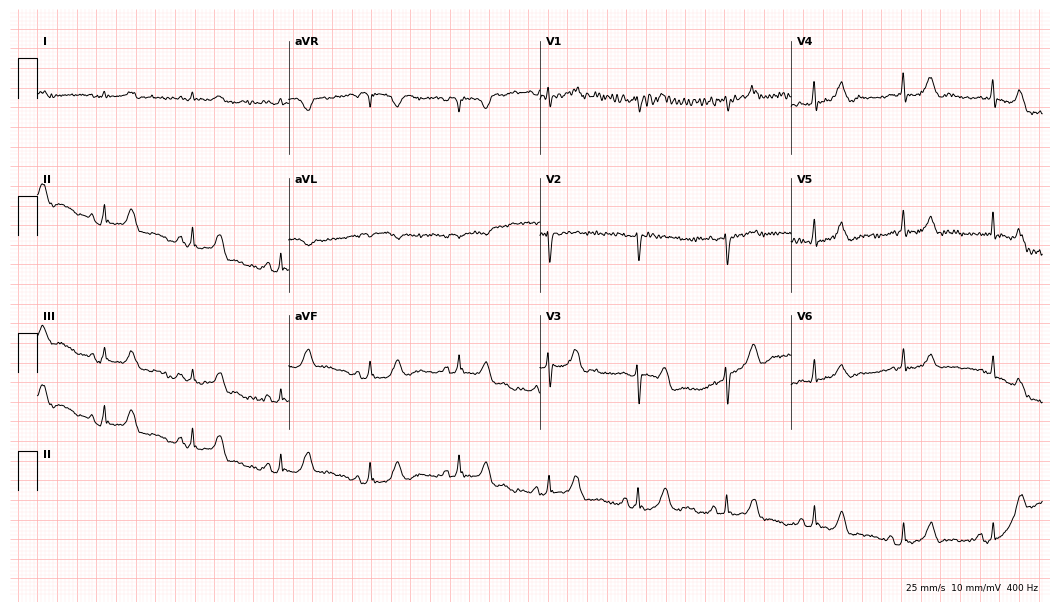
Resting 12-lead electrocardiogram. Patient: an 85-year-old man. None of these six findings is recorded: first-degree AV block, right bundle branch block, left bundle branch block, sinus bradycardia, atrial fibrillation, sinus tachycardia. Findings outside these six are not listed.